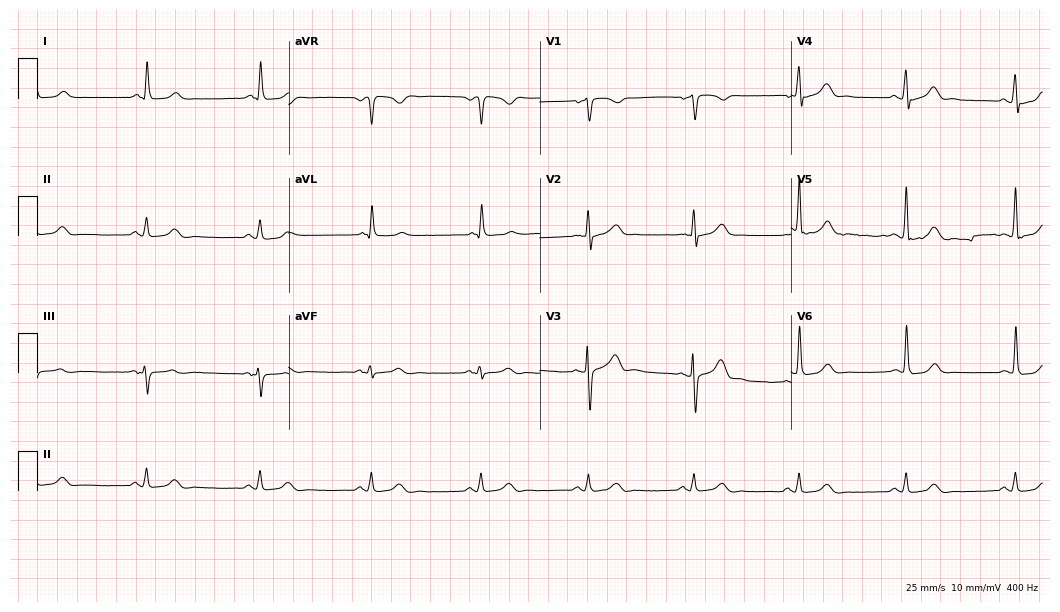
ECG (10.2-second recording at 400 Hz) — a male patient, 66 years old. Labelled as a normal ECG.